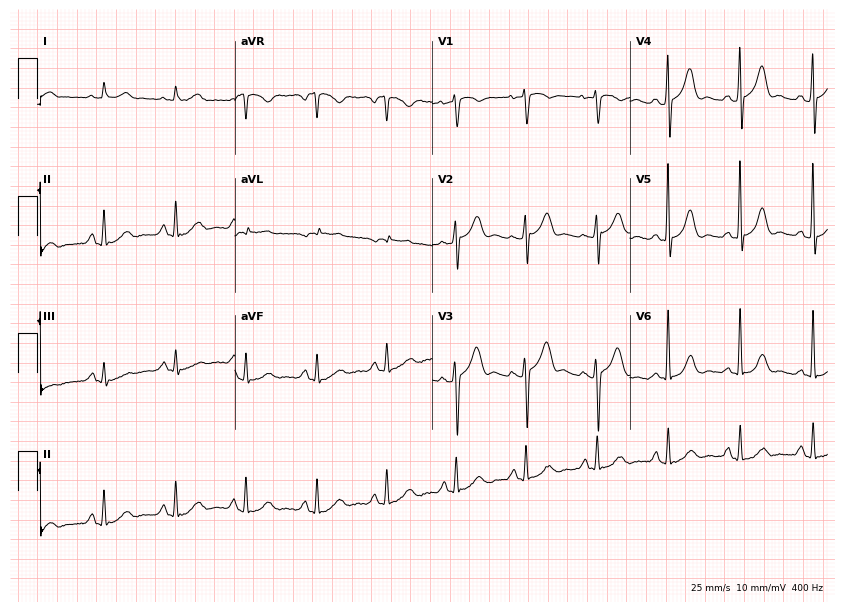
Electrocardiogram, a male, 85 years old. Overall reading on record: normal ECG.